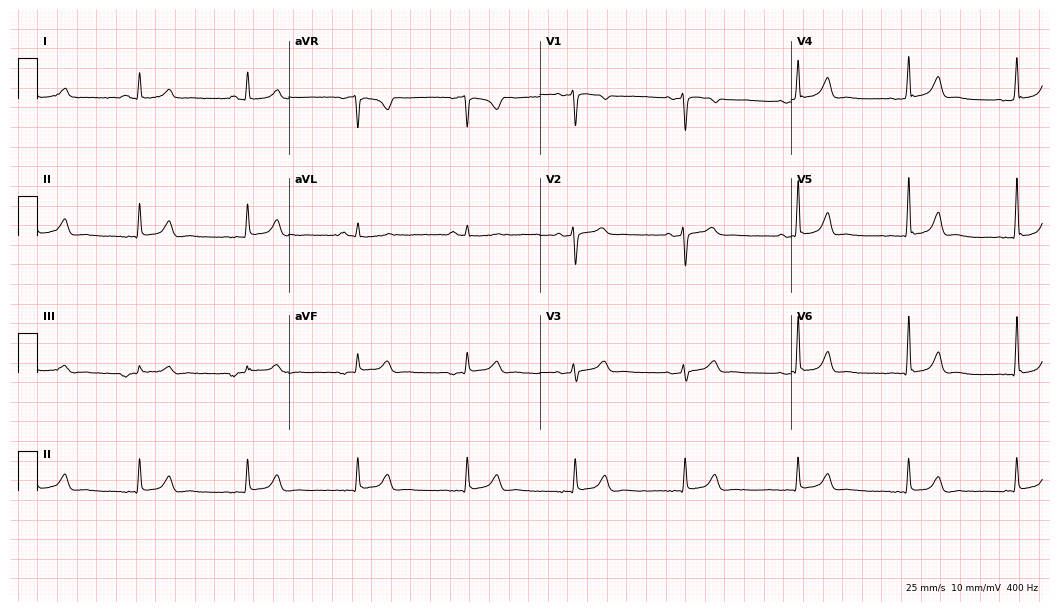
Electrocardiogram, a female patient, 45 years old. Of the six screened findings (first-degree AV block, right bundle branch block (RBBB), left bundle branch block (LBBB), sinus bradycardia, atrial fibrillation (AF), sinus tachycardia), none is recorded.